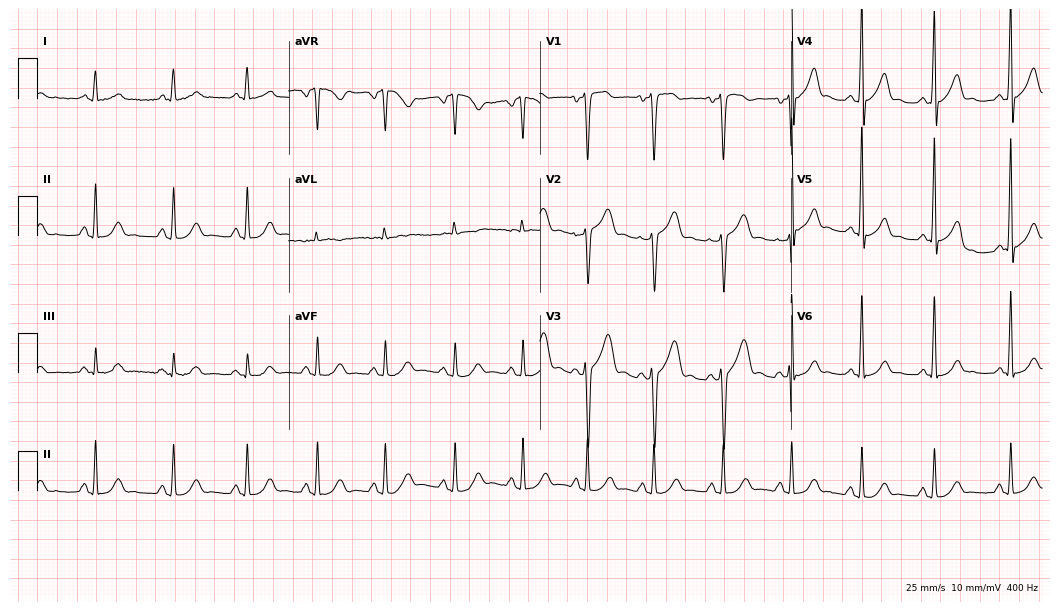
Standard 12-lead ECG recorded from a 35-year-old male (10.2-second recording at 400 Hz). Read as a normal ECG.